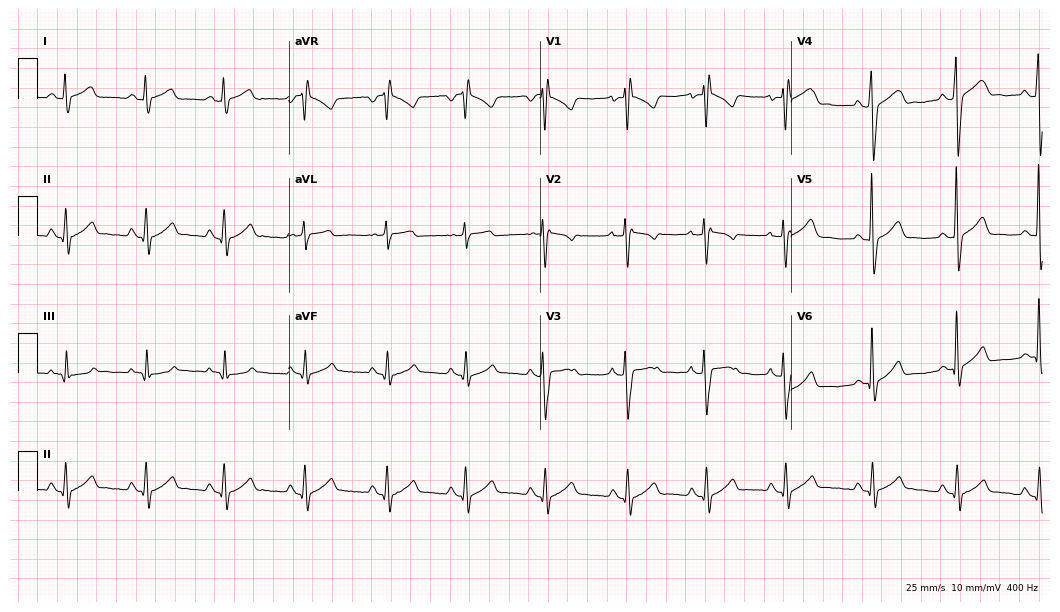
12-lead ECG from a 19-year-old male (10.2-second recording at 400 Hz). No first-degree AV block, right bundle branch block, left bundle branch block, sinus bradycardia, atrial fibrillation or sinus tachycardia recorded for this tracing. Only these six findings were labelled.